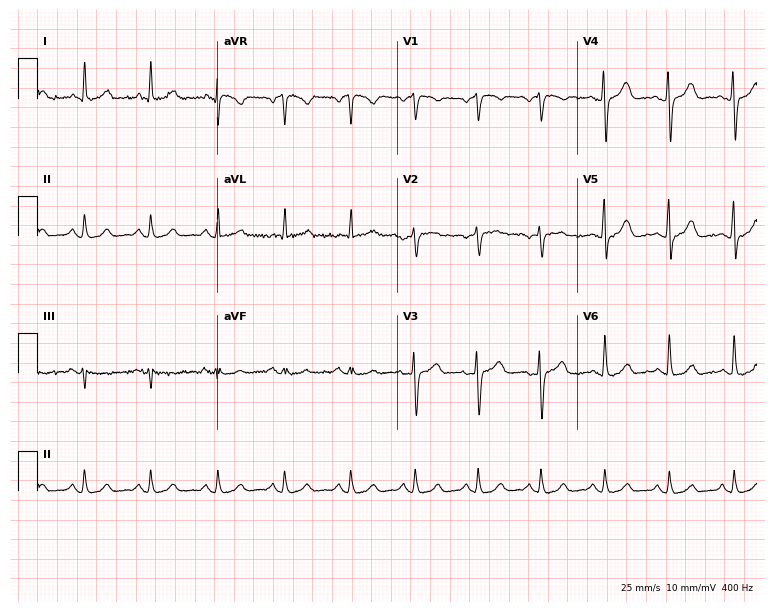
Resting 12-lead electrocardiogram (7.3-second recording at 400 Hz). Patient: a 54-year-old female. Read as a normal ECG.